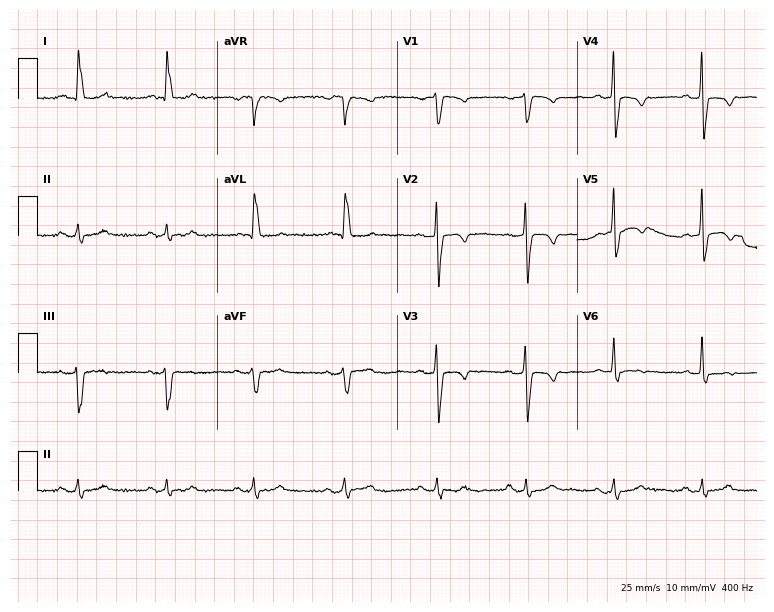
12-lead ECG from a 79-year-old female patient (7.3-second recording at 400 Hz). No first-degree AV block, right bundle branch block, left bundle branch block, sinus bradycardia, atrial fibrillation or sinus tachycardia recorded for this tracing. Only these six findings were labelled.